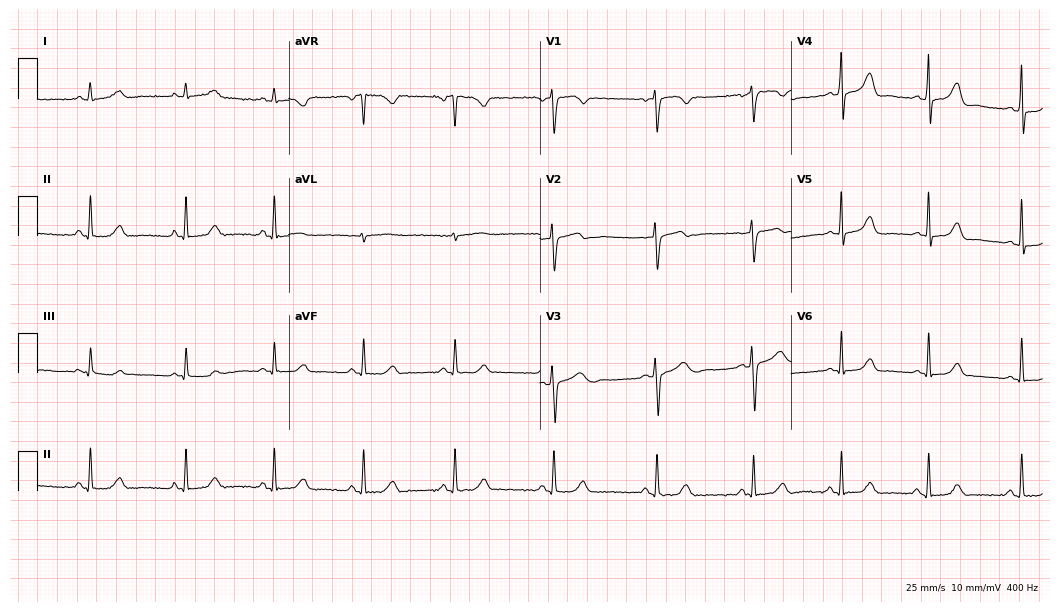
ECG (10.2-second recording at 400 Hz) — a 21-year-old female. Labelled as a normal ECG.